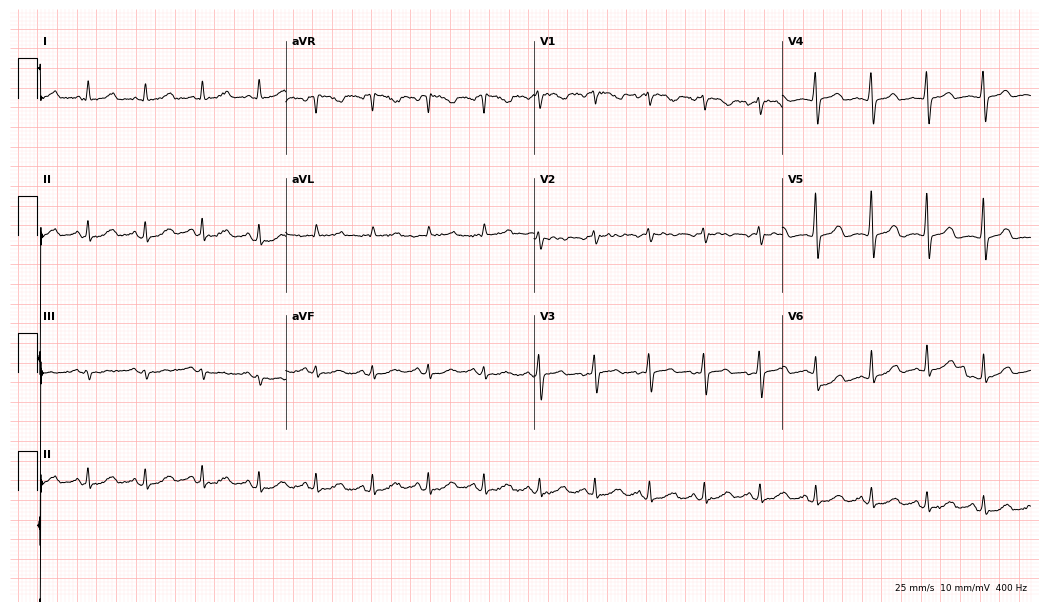
12-lead ECG from a female patient, 36 years old. Findings include sinus tachycardia (a sinus rate of 100 beats per minute or more).